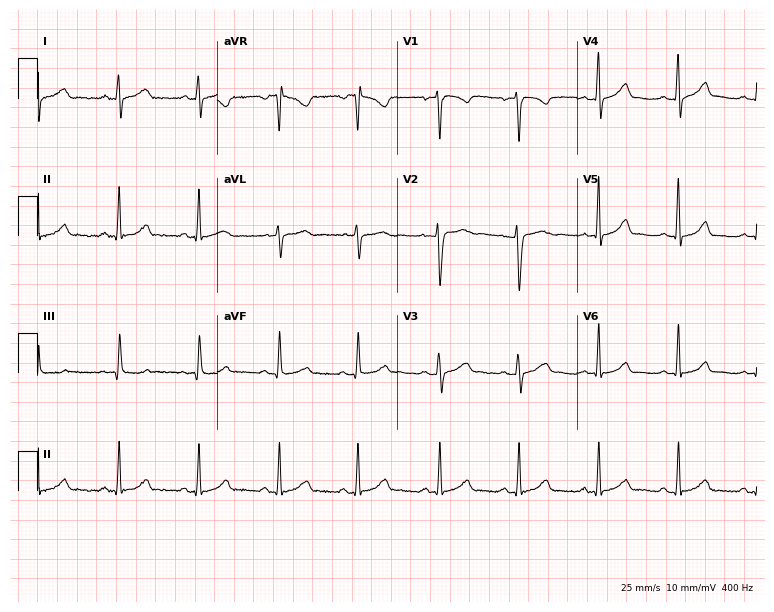
Resting 12-lead electrocardiogram. Patient: a woman, 21 years old. Read as a normal ECG.